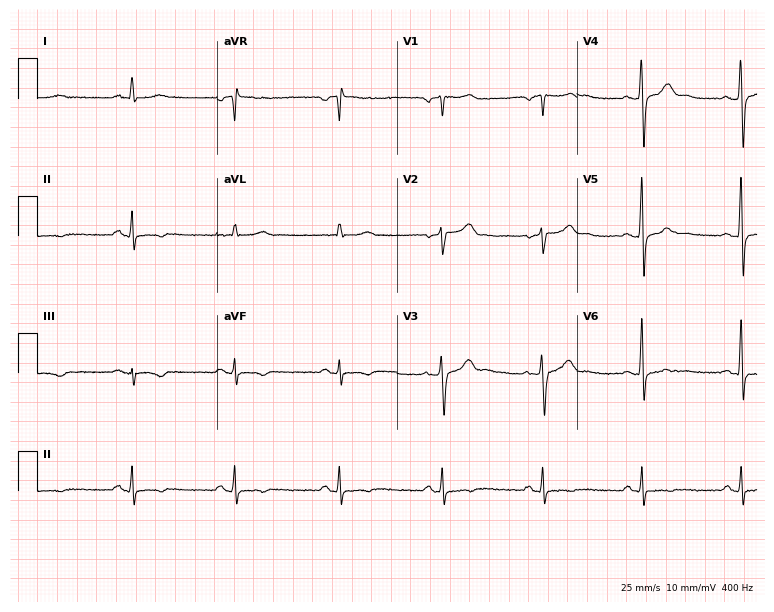
Resting 12-lead electrocardiogram. Patient: a 46-year-old man. None of these six findings is recorded: first-degree AV block, right bundle branch block (RBBB), left bundle branch block (LBBB), sinus bradycardia, atrial fibrillation (AF), sinus tachycardia. Only these six findings were labelled.